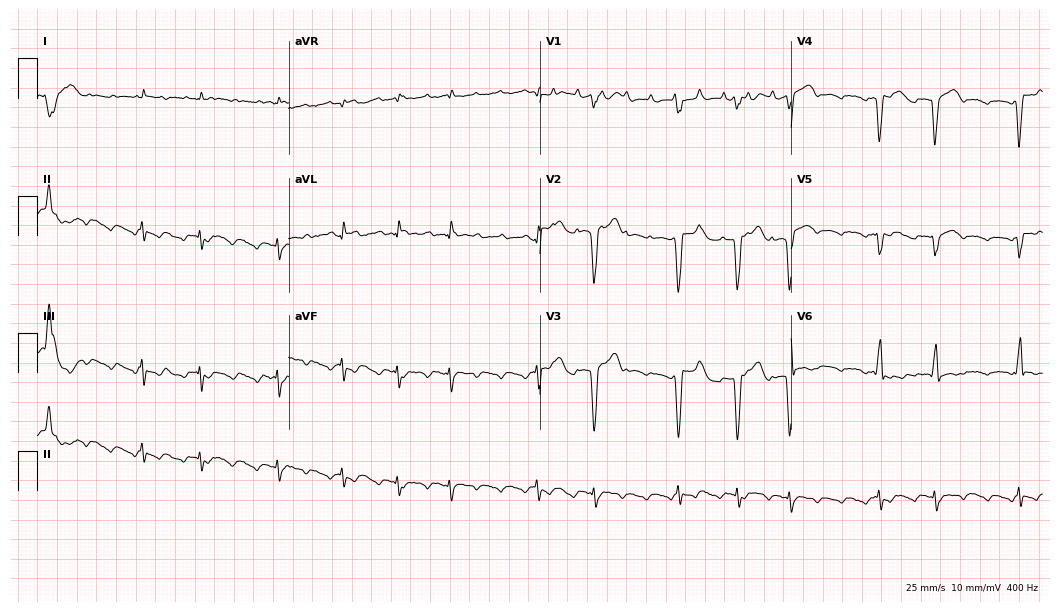
Standard 12-lead ECG recorded from a man, 59 years old. Read as a normal ECG.